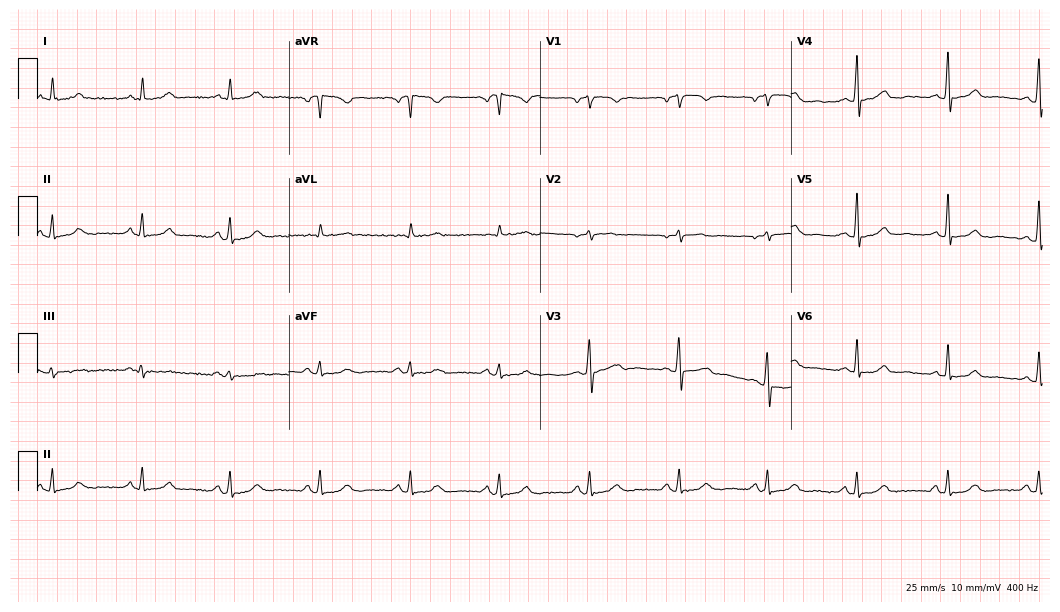
Resting 12-lead electrocardiogram. Patient: a 62-year-old female. Read as a normal ECG.